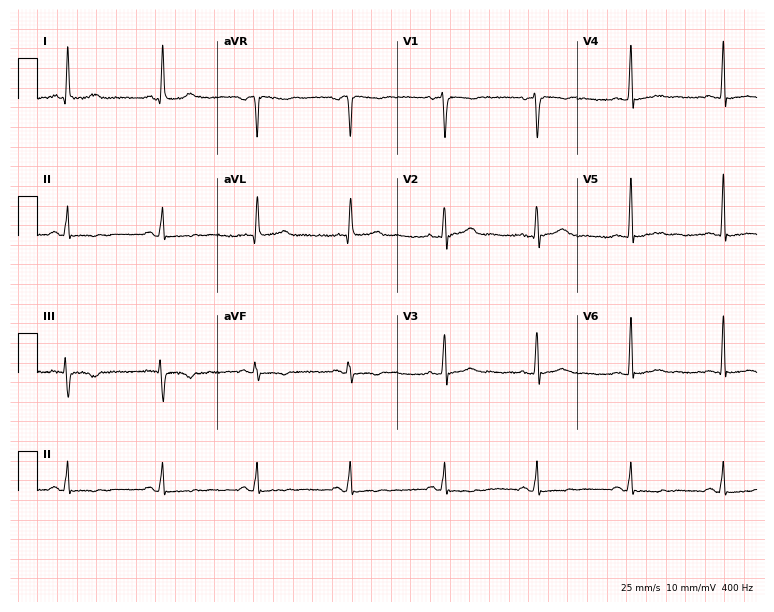
Electrocardiogram, a woman, 46 years old. Of the six screened findings (first-degree AV block, right bundle branch block (RBBB), left bundle branch block (LBBB), sinus bradycardia, atrial fibrillation (AF), sinus tachycardia), none is recorded.